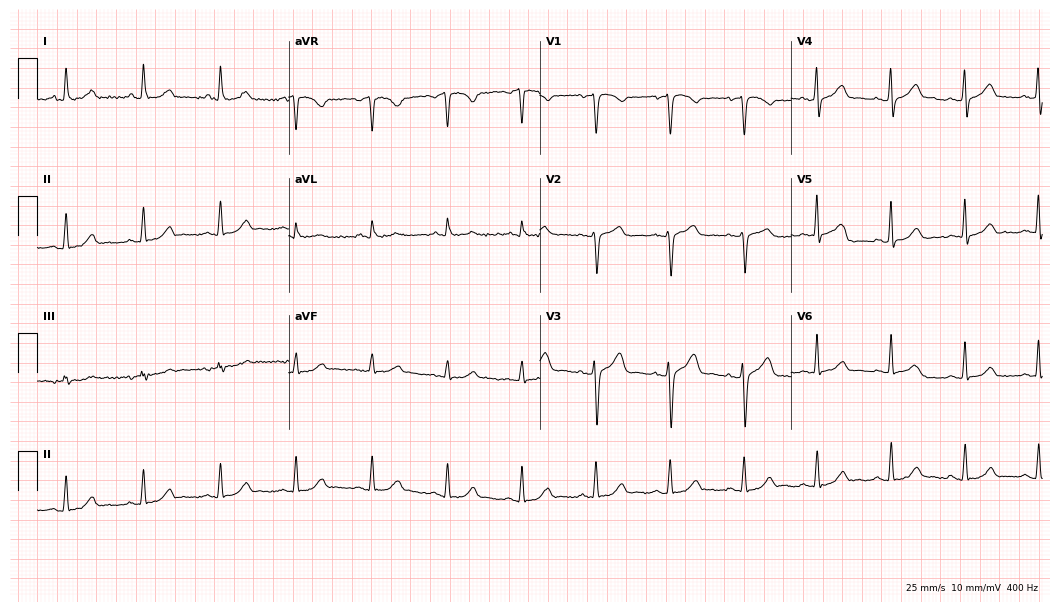
12-lead ECG from a 55-year-old woman. Labelled as a normal ECG.